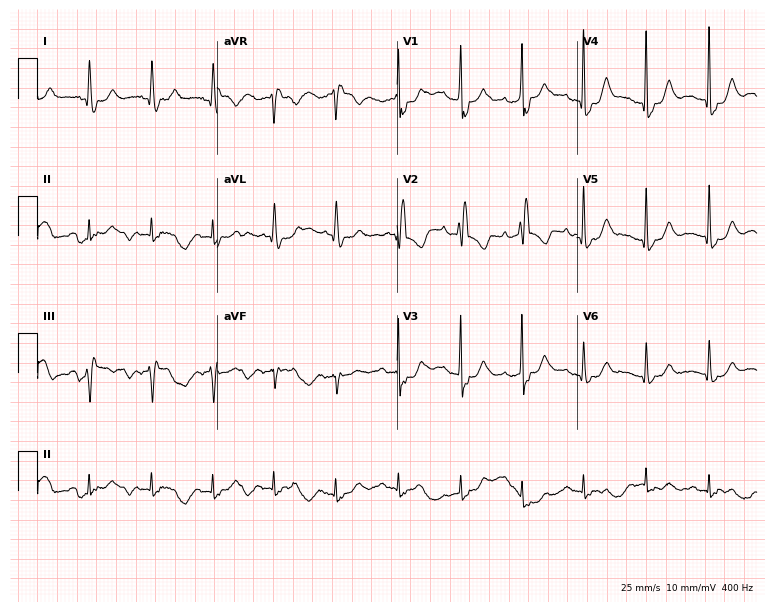
Electrocardiogram, a female, 84 years old. Interpretation includes right bundle branch block (RBBB).